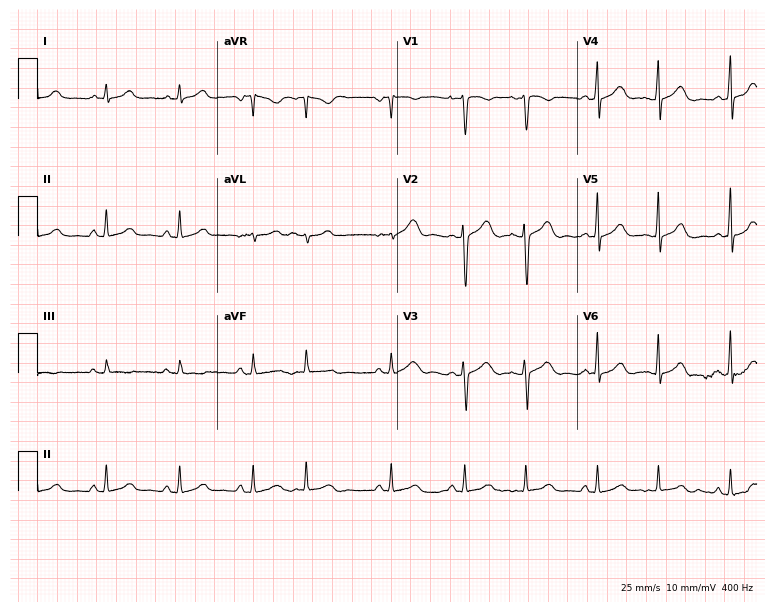
Resting 12-lead electrocardiogram. Patient: a 38-year-old woman. Read as a normal ECG.